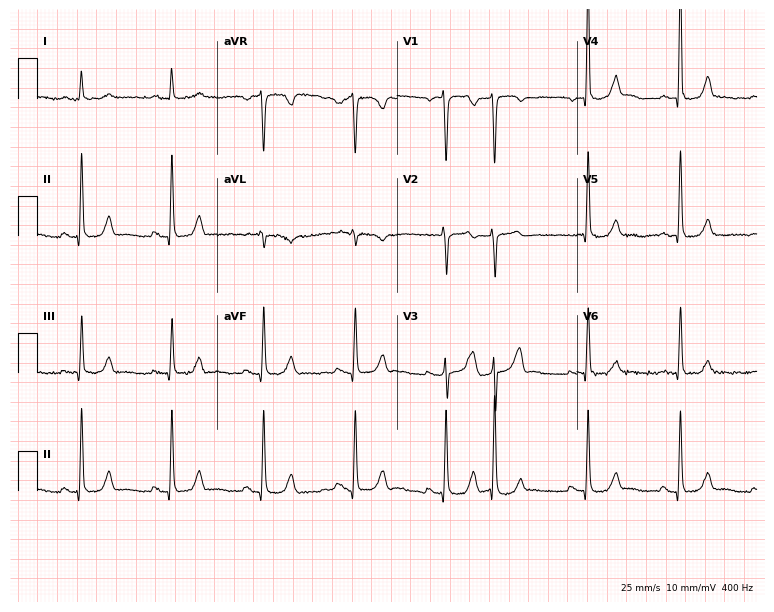
Resting 12-lead electrocardiogram (7.3-second recording at 400 Hz). Patient: a woman, 44 years old. None of these six findings is recorded: first-degree AV block, right bundle branch block, left bundle branch block, sinus bradycardia, atrial fibrillation, sinus tachycardia. Other findings, if any, are not listed.